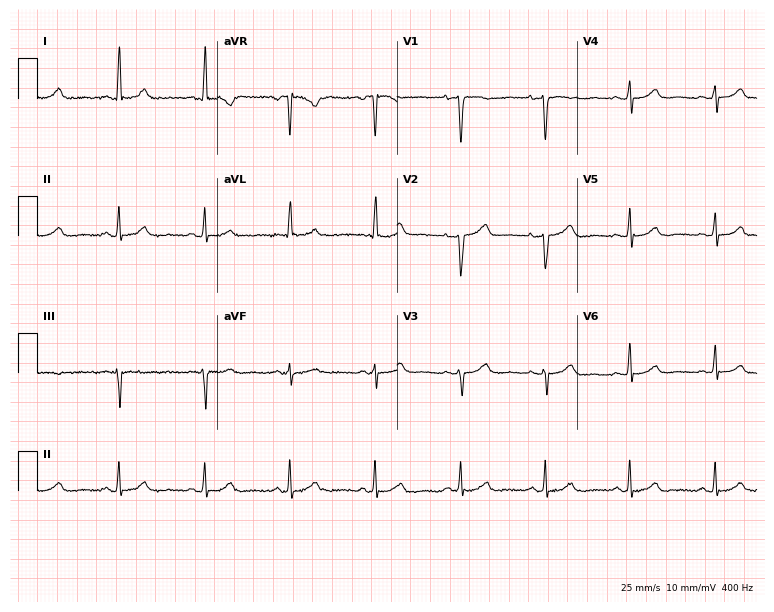
12-lead ECG (7.3-second recording at 400 Hz) from a 60-year-old female patient. Labelled as a normal ECG.